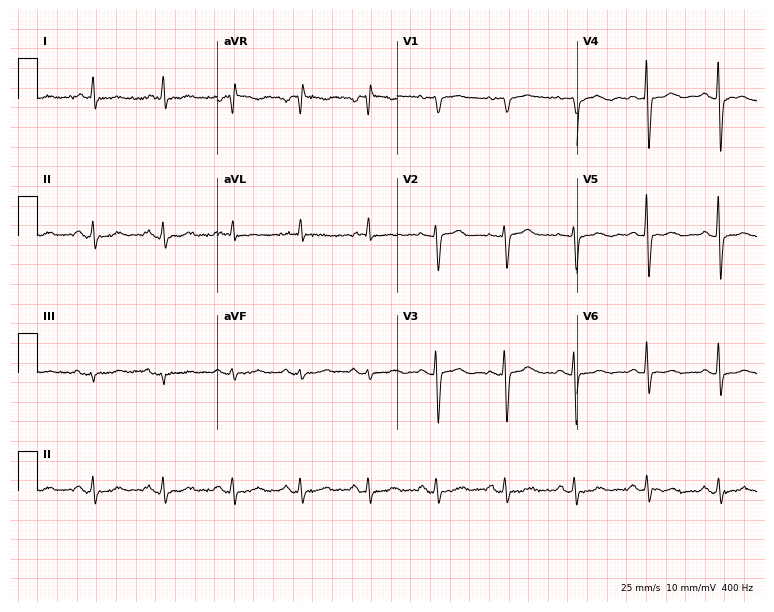
ECG — a female, 68 years old. Screened for six findings — first-degree AV block, right bundle branch block (RBBB), left bundle branch block (LBBB), sinus bradycardia, atrial fibrillation (AF), sinus tachycardia — none is recorded.